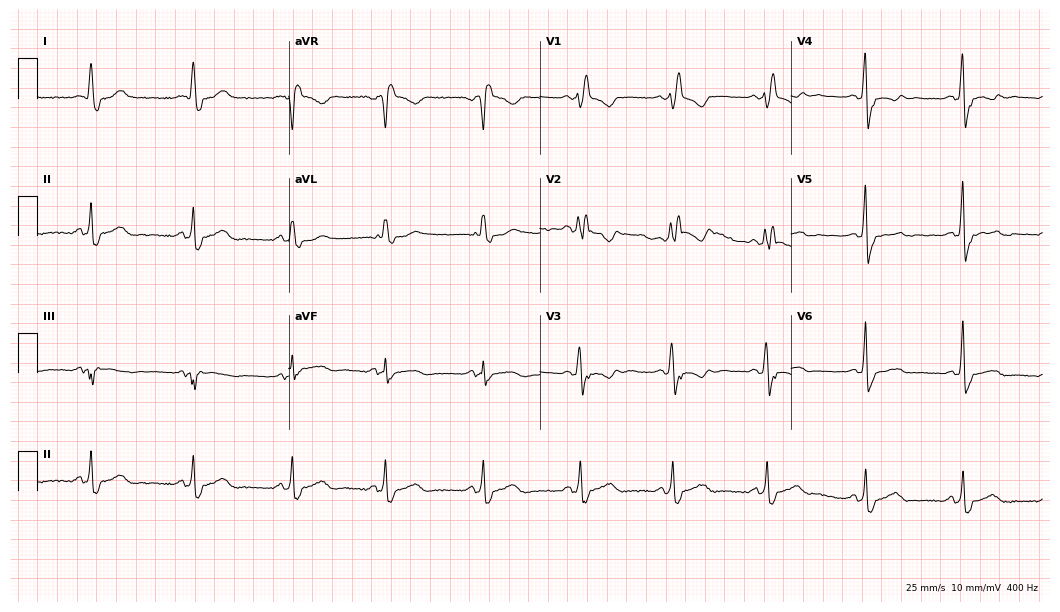
12-lead ECG from a 54-year-old female (10.2-second recording at 400 Hz). Shows right bundle branch block.